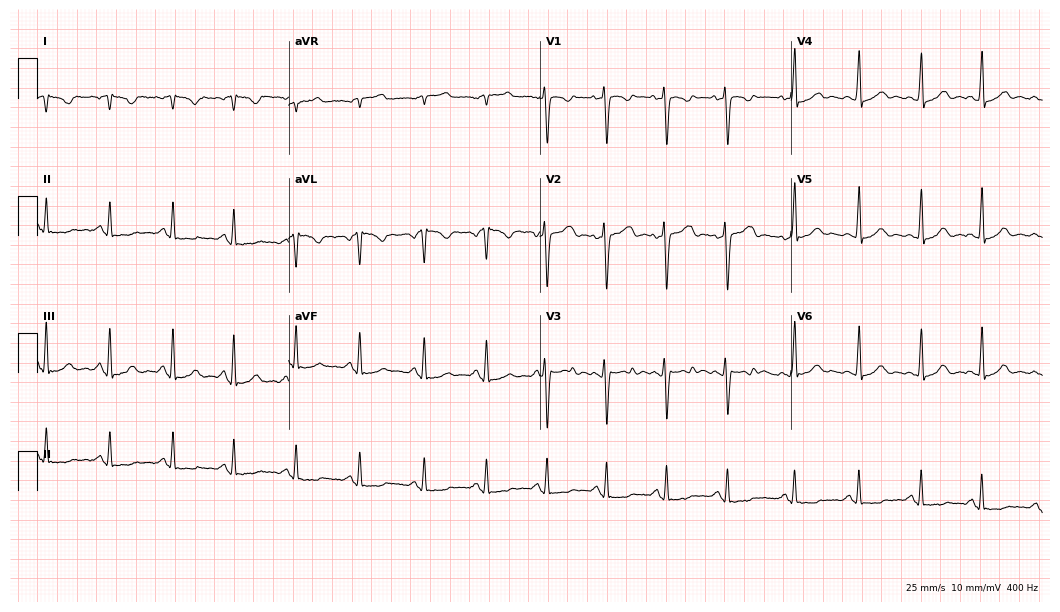
ECG (10.2-second recording at 400 Hz) — a woman, 36 years old. Screened for six findings — first-degree AV block, right bundle branch block, left bundle branch block, sinus bradycardia, atrial fibrillation, sinus tachycardia — none is recorded. Only these six findings were labelled.